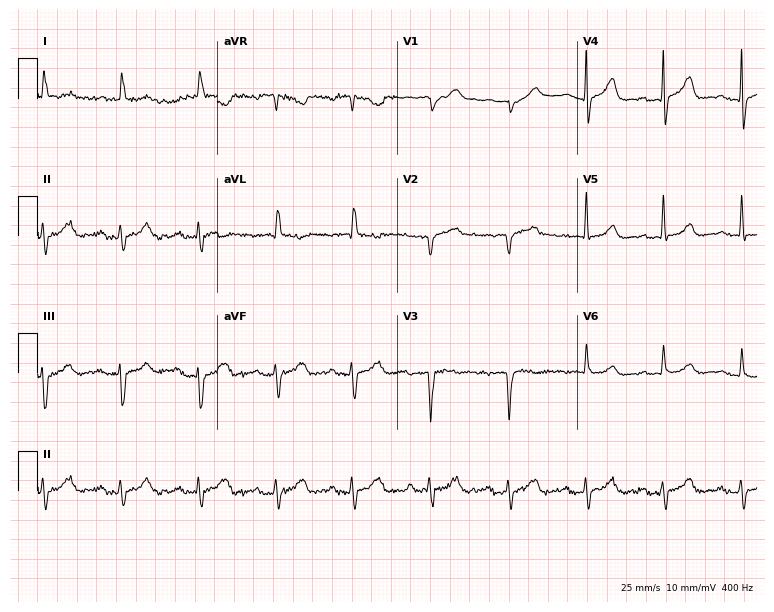
Electrocardiogram, a man, 72 years old. Of the six screened findings (first-degree AV block, right bundle branch block (RBBB), left bundle branch block (LBBB), sinus bradycardia, atrial fibrillation (AF), sinus tachycardia), none is recorded. Only these six findings were labelled.